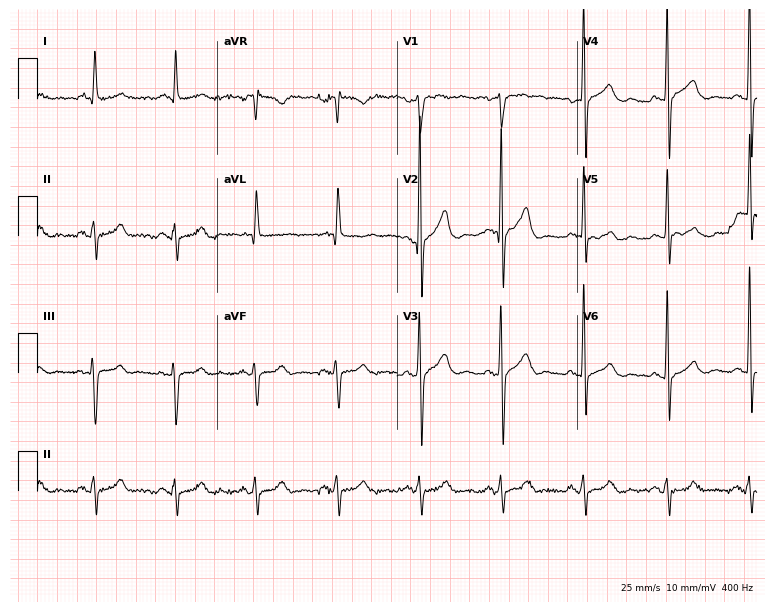
ECG (7.3-second recording at 400 Hz) — a 62-year-old man. Screened for six findings — first-degree AV block, right bundle branch block, left bundle branch block, sinus bradycardia, atrial fibrillation, sinus tachycardia — none is recorded.